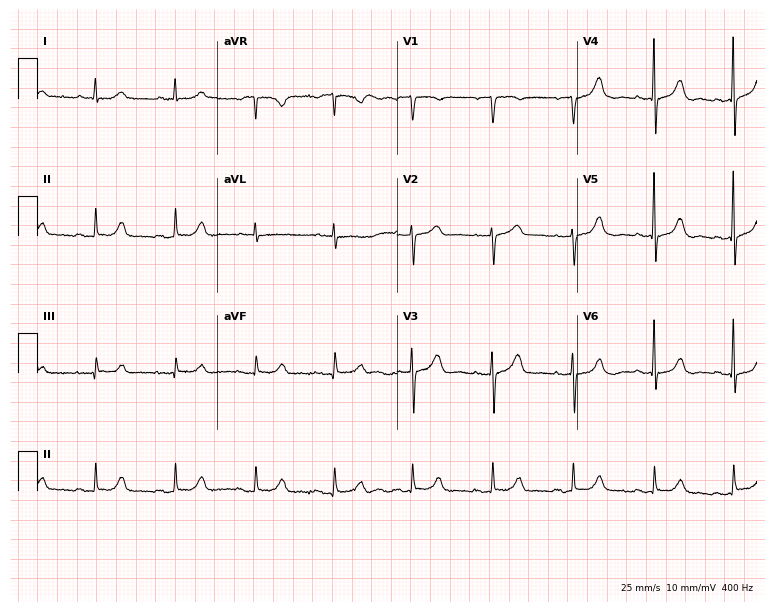
ECG — a female patient, 81 years old. Labelled as a normal ECG.